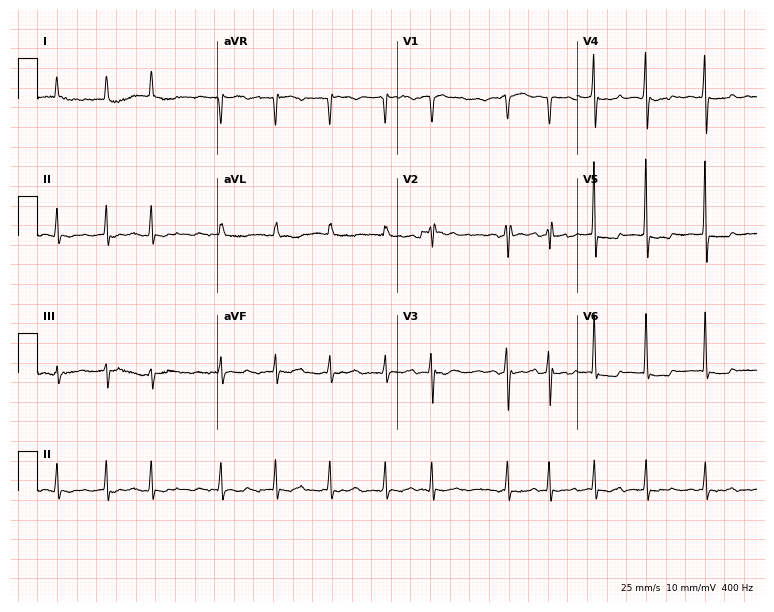
Resting 12-lead electrocardiogram (7.3-second recording at 400 Hz). Patient: a male, 84 years old. The tracing shows atrial fibrillation.